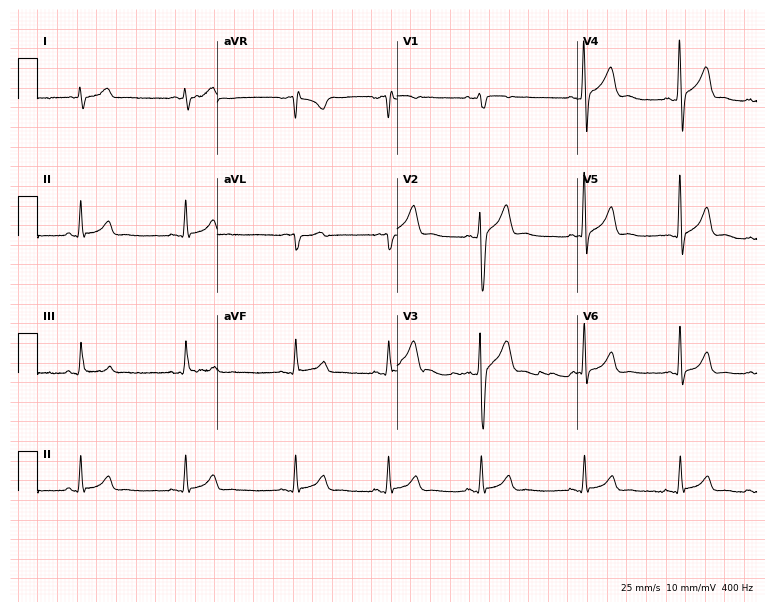
12-lead ECG from a 19-year-old male. No first-degree AV block, right bundle branch block, left bundle branch block, sinus bradycardia, atrial fibrillation or sinus tachycardia recorded for this tracing. Only these six findings were labelled.